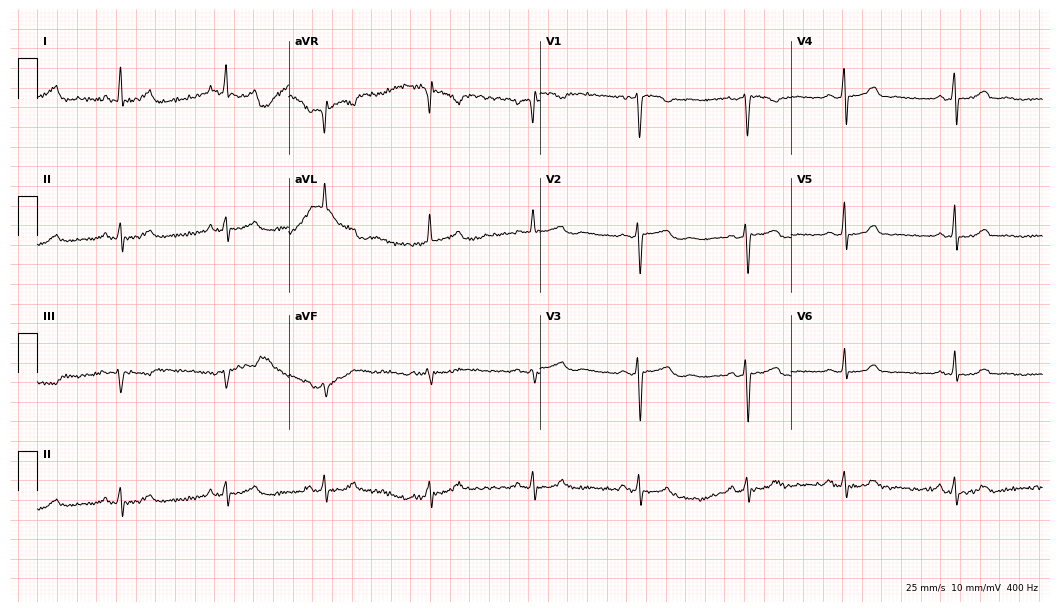
12-lead ECG from a 32-year-old woman. No first-degree AV block, right bundle branch block (RBBB), left bundle branch block (LBBB), sinus bradycardia, atrial fibrillation (AF) or sinus tachycardia recorded for this tracing. Other findings, if any, are not listed.